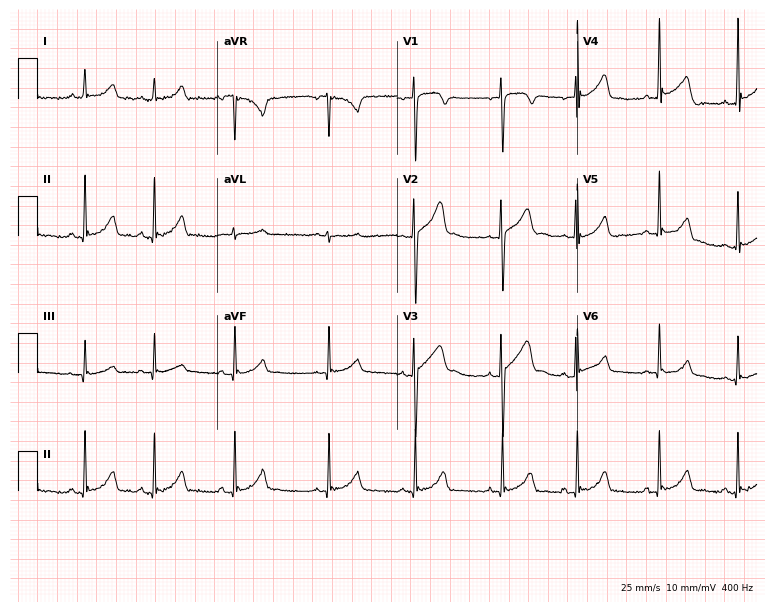
ECG — a woman, 17 years old. Labelled as a normal ECG.